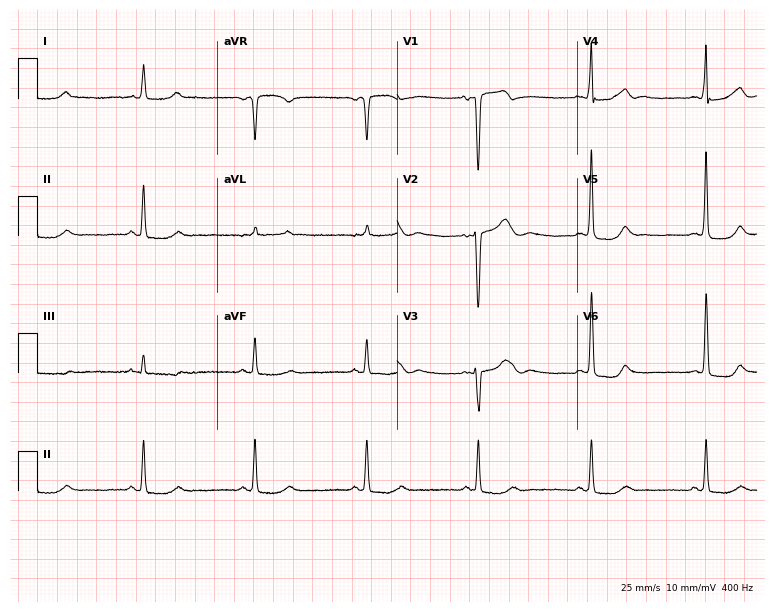
12-lead ECG from an 81-year-old woman. No first-degree AV block, right bundle branch block (RBBB), left bundle branch block (LBBB), sinus bradycardia, atrial fibrillation (AF) or sinus tachycardia recorded for this tracing.